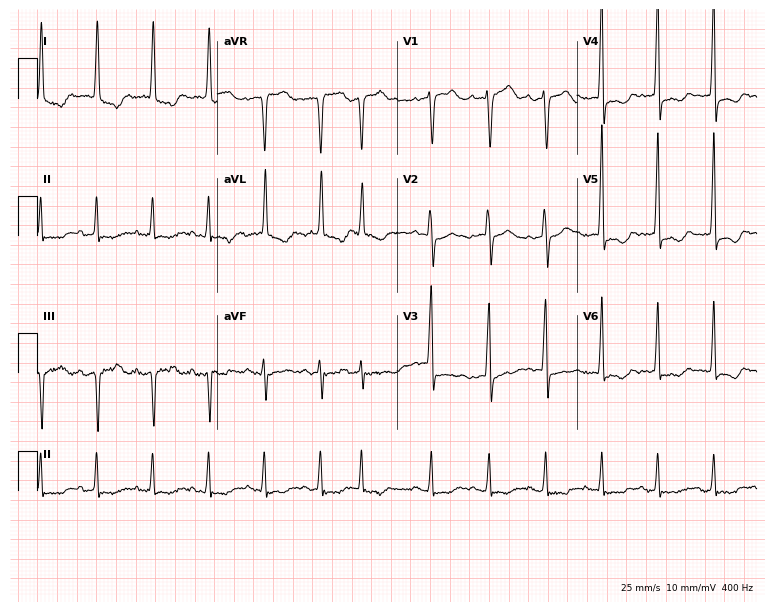
Electrocardiogram, a female patient, 82 years old. Interpretation includes sinus tachycardia (a sinus rate of 100 beats per minute or more).